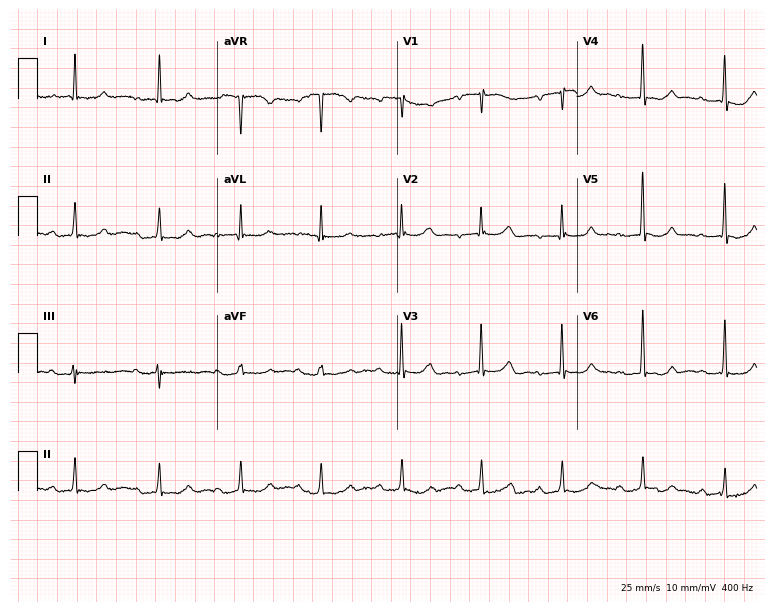
Standard 12-lead ECG recorded from an 82-year-old female (7.3-second recording at 400 Hz). None of these six findings is recorded: first-degree AV block, right bundle branch block, left bundle branch block, sinus bradycardia, atrial fibrillation, sinus tachycardia. Only these six findings were labelled.